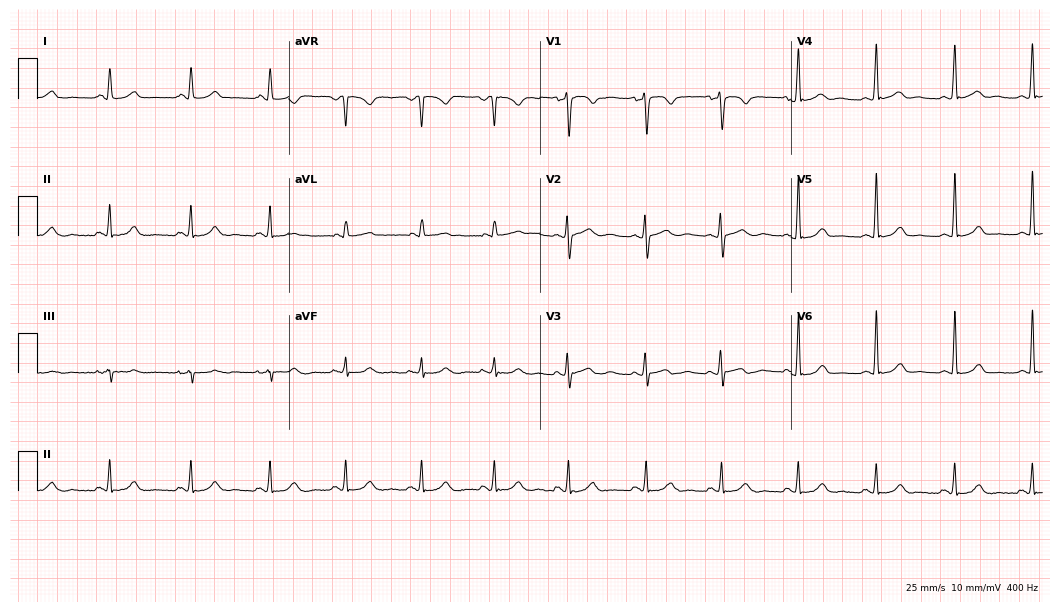
12-lead ECG from a woman, 24 years old. Labelled as a normal ECG.